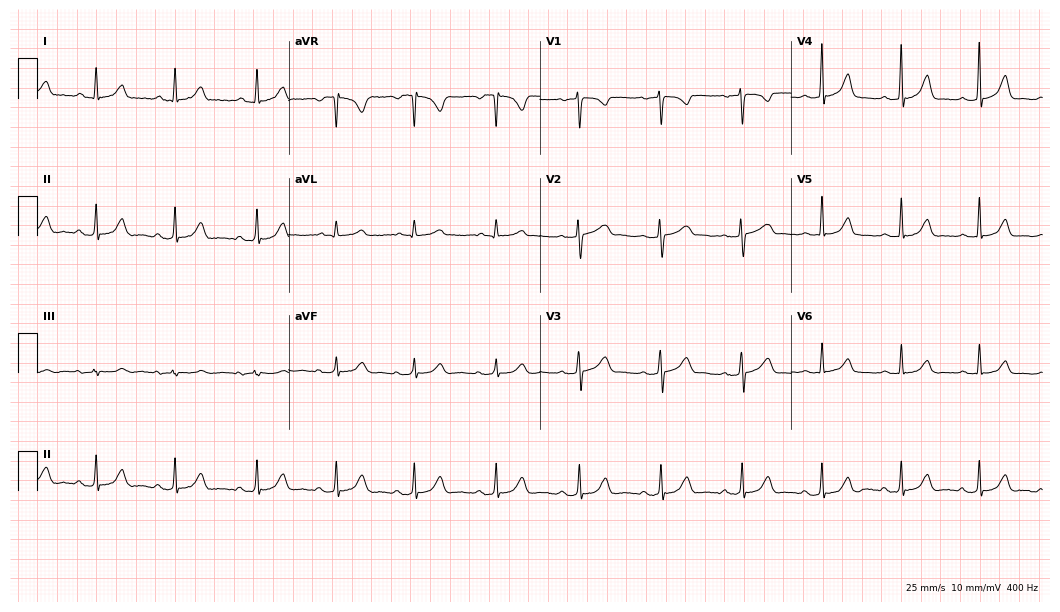
12-lead ECG from a 28-year-old man. Labelled as a normal ECG.